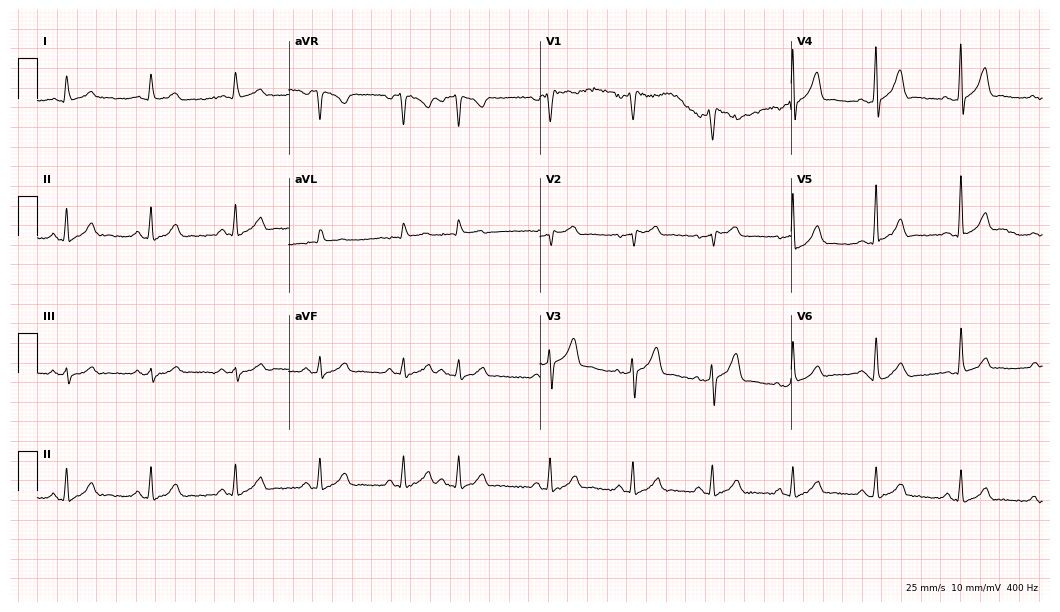
12-lead ECG from a 53-year-old male patient (10.2-second recording at 400 Hz). Recorded interpretation: within normal limits.